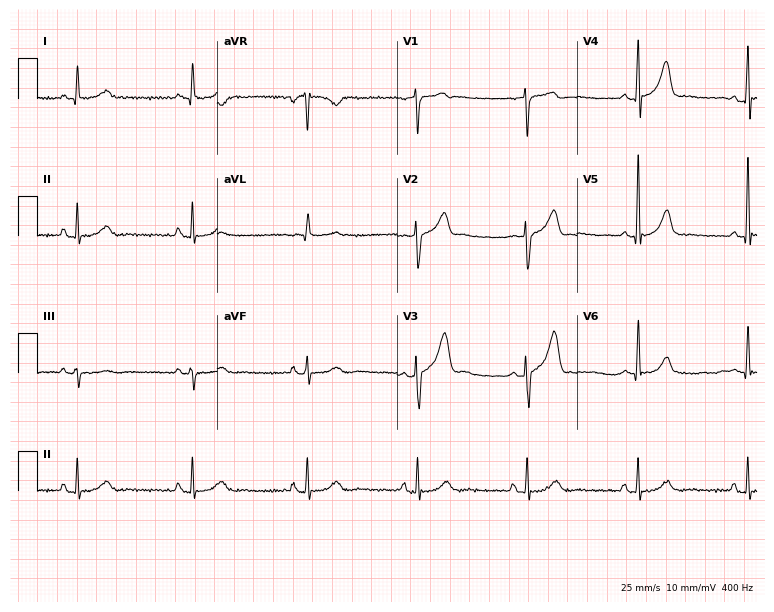
Resting 12-lead electrocardiogram (7.3-second recording at 400 Hz). Patient: a 73-year-old male. Read as a normal ECG.